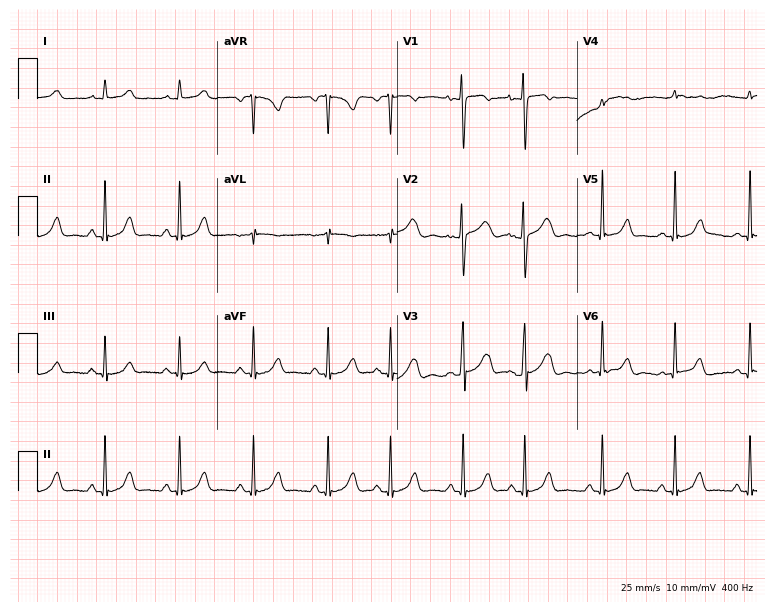
ECG (7.3-second recording at 400 Hz) — a female patient, 27 years old. Labelled as a normal ECG.